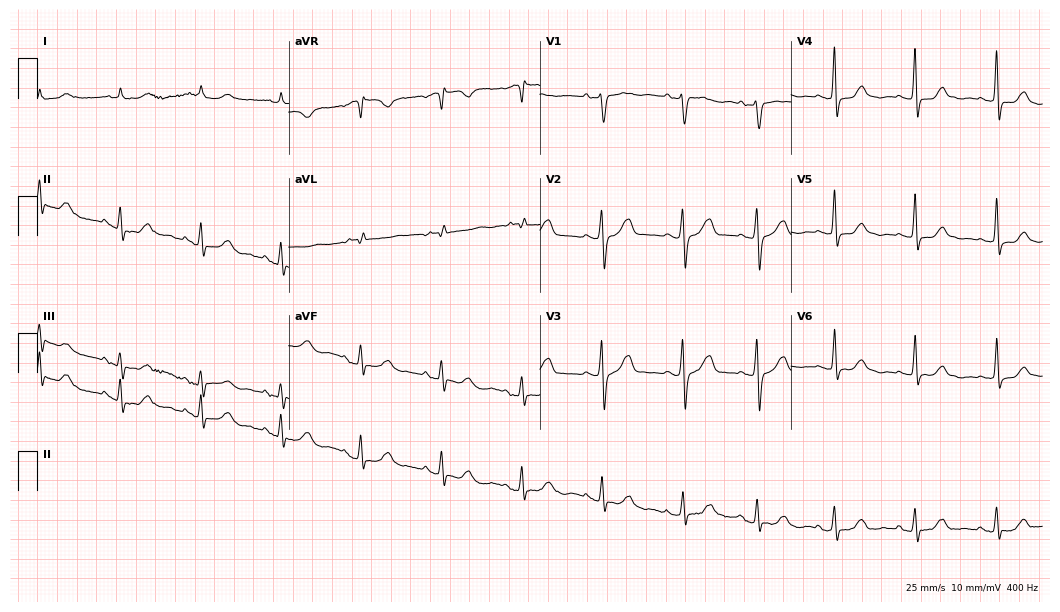
Resting 12-lead electrocardiogram (10.2-second recording at 400 Hz). Patient: an 80-year-old female. None of these six findings is recorded: first-degree AV block, right bundle branch block (RBBB), left bundle branch block (LBBB), sinus bradycardia, atrial fibrillation (AF), sinus tachycardia.